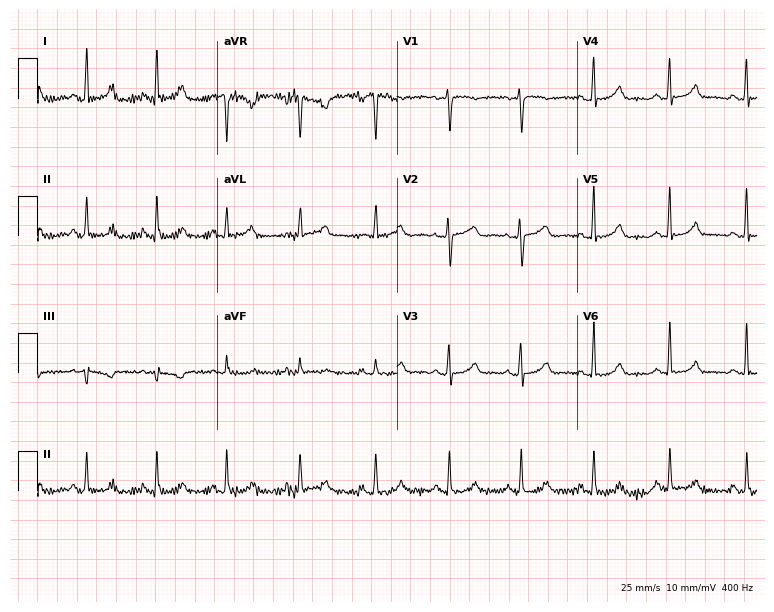
ECG (7.3-second recording at 400 Hz) — a female patient, 52 years old. Labelled as a normal ECG.